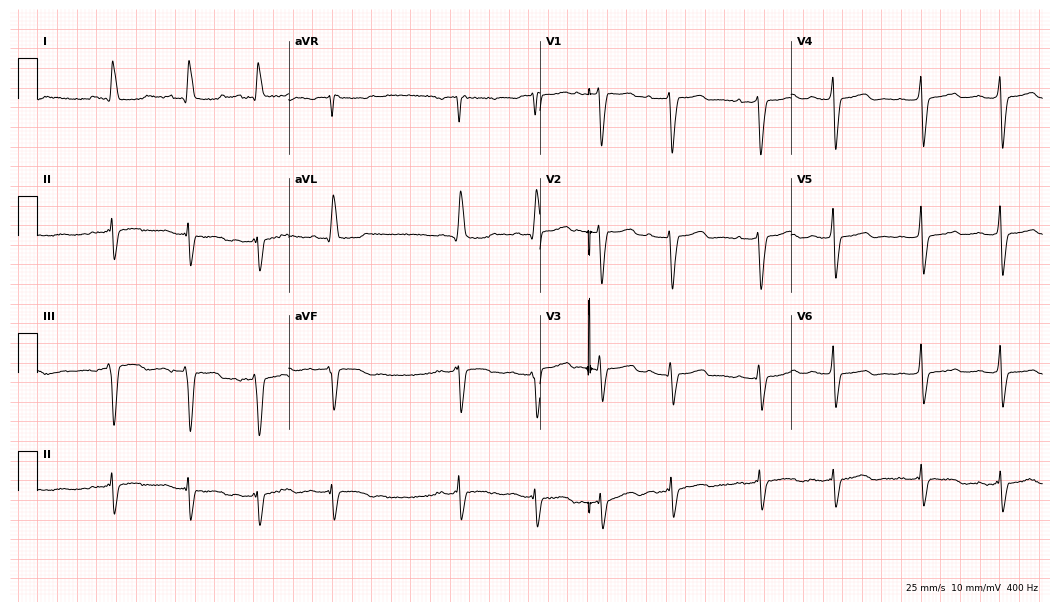
12-lead ECG from a female patient, 49 years old. No first-degree AV block, right bundle branch block, left bundle branch block, sinus bradycardia, atrial fibrillation or sinus tachycardia recorded for this tracing. Findings outside these six are not listed.